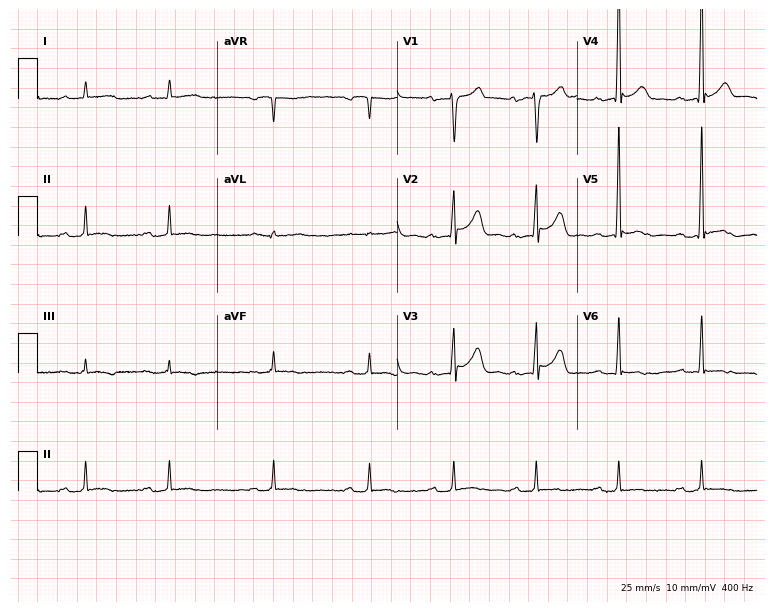
Electrocardiogram, a male, 53 years old. Interpretation includes first-degree AV block.